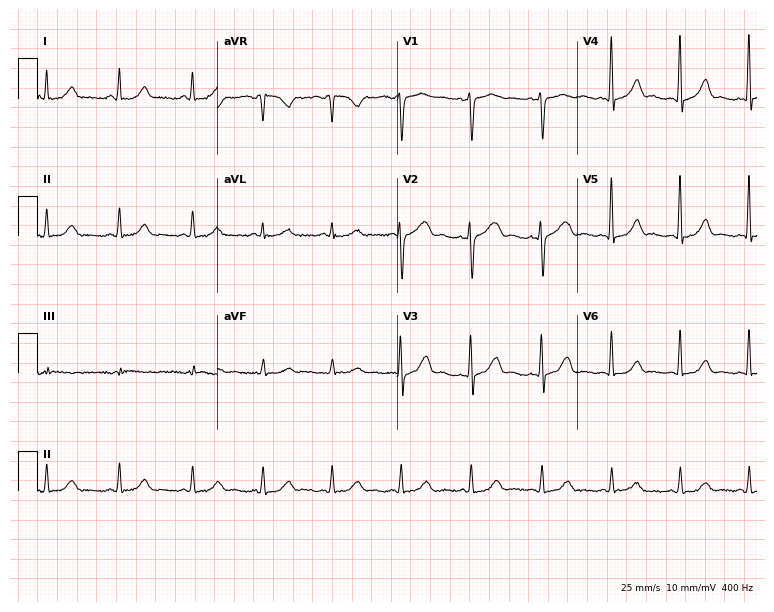
12-lead ECG from a 42-year-old female. No first-degree AV block, right bundle branch block, left bundle branch block, sinus bradycardia, atrial fibrillation or sinus tachycardia recorded for this tracing.